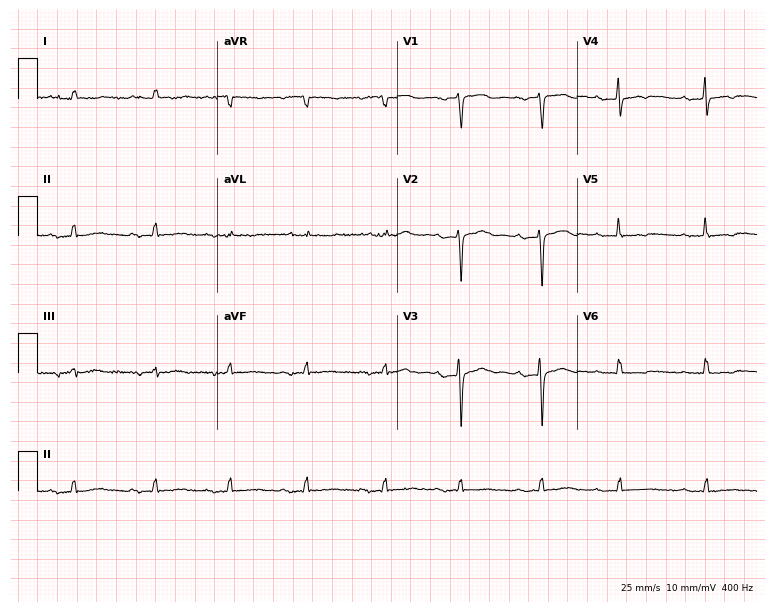
12-lead ECG from a 63-year-old man. Screened for six findings — first-degree AV block, right bundle branch block, left bundle branch block, sinus bradycardia, atrial fibrillation, sinus tachycardia — none is recorded.